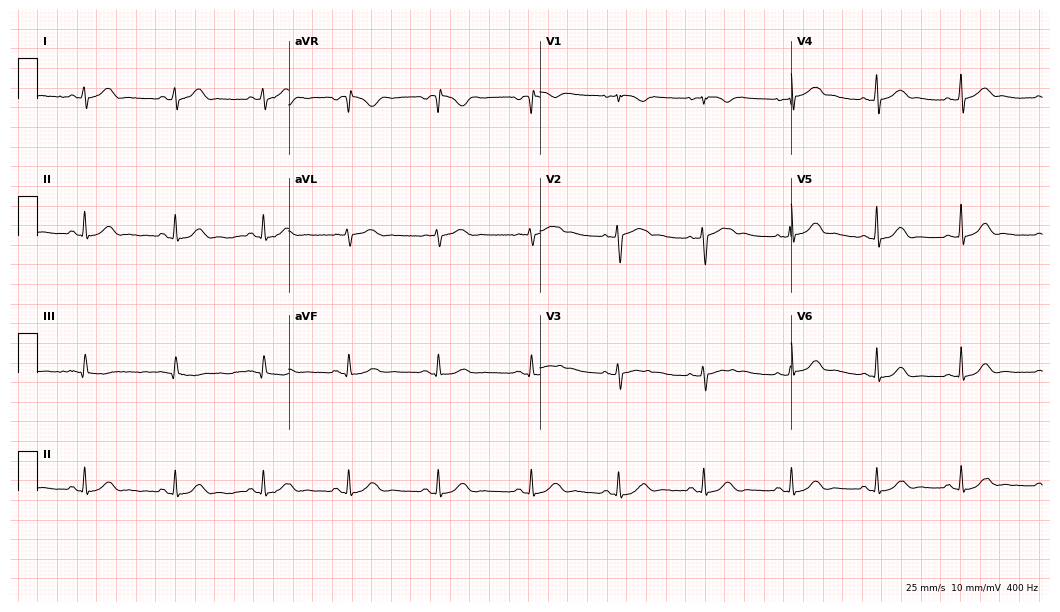
Electrocardiogram, a female patient, 35 years old. Of the six screened findings (first-degree AV block, right bundle branch block (RBBB), left bundle branch block (LBBB), sinus bradycardia, atrial fibrillation (AF), sinus tachycardia), none is recorded.